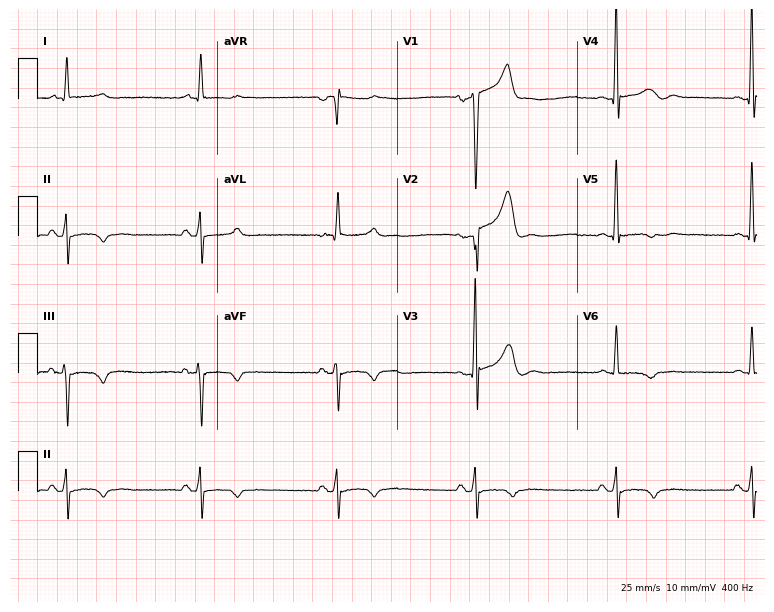
ECG — a 59-year-old man. Findings include sinus bradycardia (a sinus rate of 50 beats per minute or less).